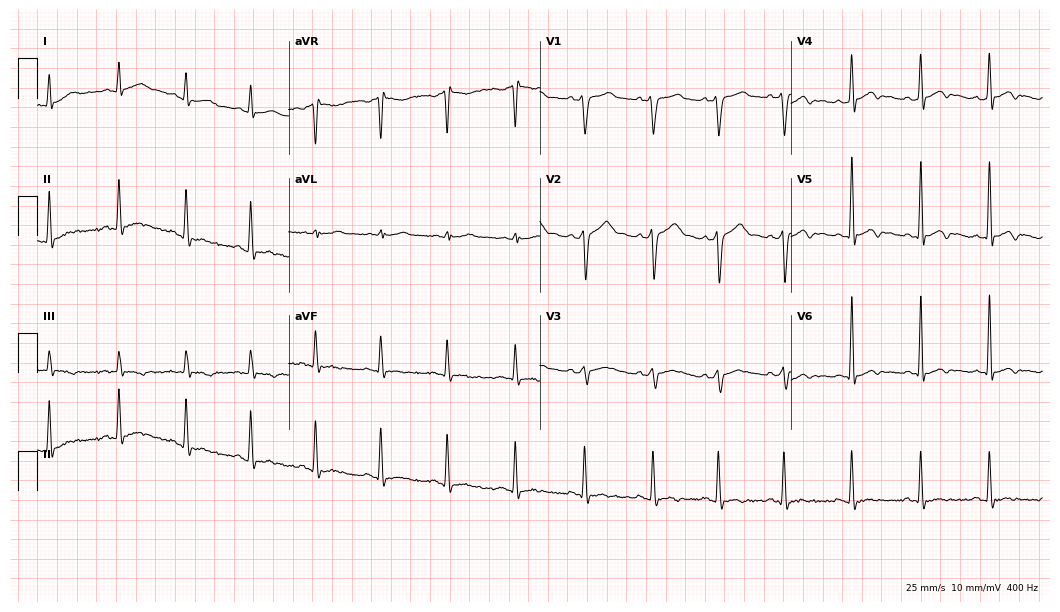
ECG (10.2-second recording at 400 Hz) — a 19-year-old man. Screened for six findings — first-degree AV block, right bundle branch block, left bundle branch block, sinus bradycardia, atrial fibrillation, sinus tachycardia — none is recorded.